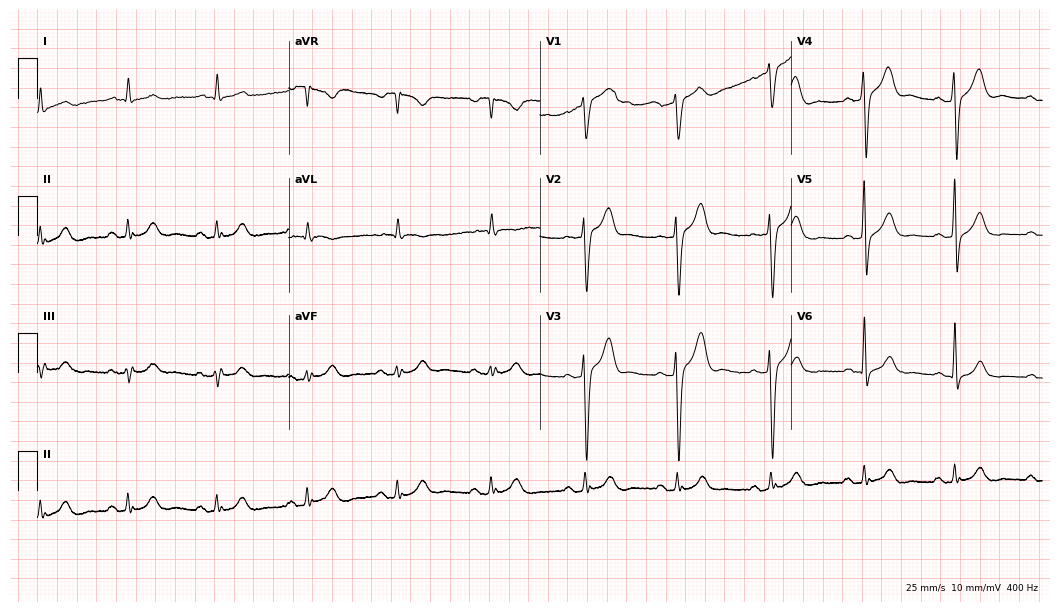
Standard 12-lead ECG recorded from a 65-year-old male patient. None of these six findings is recorded: first-degree AV block, right bundle branch block (RBBB), left bundle branch block (LBBB), sinus bradycardia, atrial fibrillation (AF), sinus tachycardia.